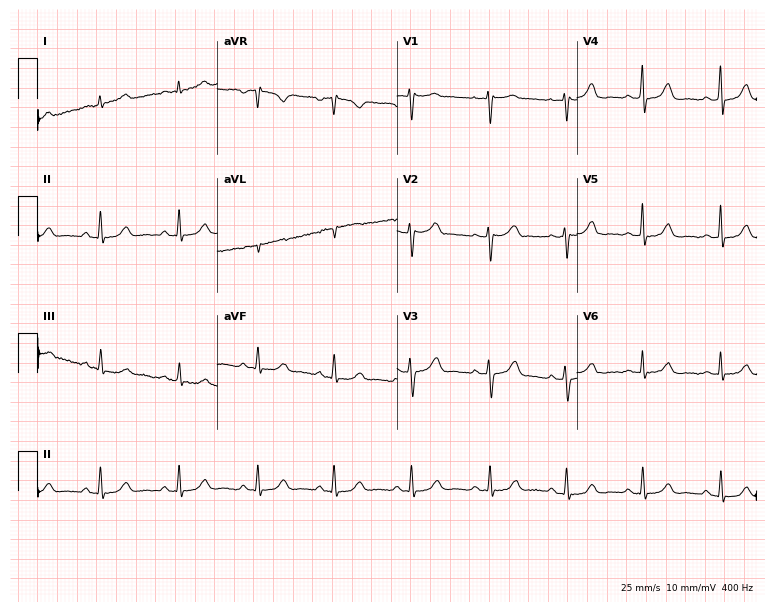
Electrocardiogram, a 47-year-old woman. Of the six screened findings (first-degree AV block, right bundle branch block, left bundle branch block, sinus bradycardia, atrial fibrillation, sinus tachycardia), none is recorded.